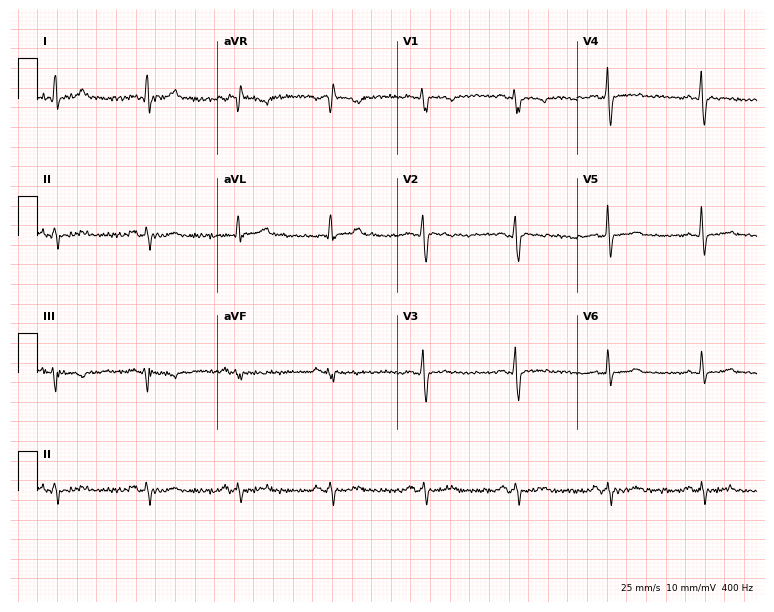
ECG (7.3-second recording at 400 Hz) — a 38-year-old female patient. Screened for six findings — first-degree AV block, right bundle branch block (RBBB), left bundle branch block (LBBB), sinus bradycardia, atrial fibrillation (AF), sinus tachycardia — none is recorded. Findings outside these six are not listed.